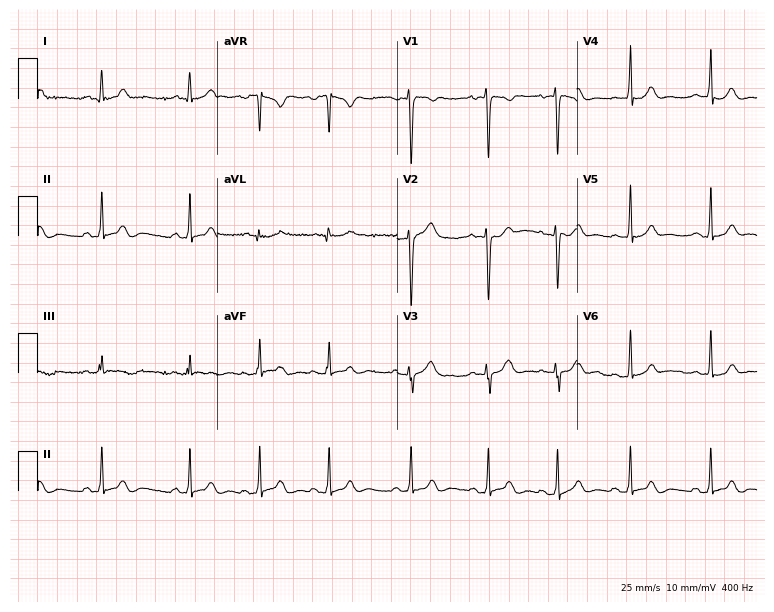
Resting 12-lead electrocardiogram (7.3-second recording at 400 Hz). Patient: a female, 22 years old. Read as a normal ECG.